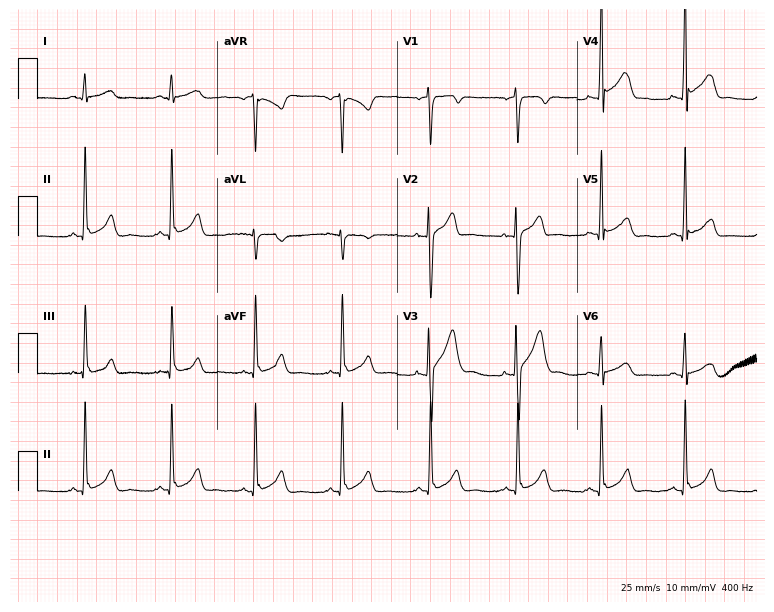
ECG (7.3-second recording at 400 Hz) — a 26-year-old man. Labelled as a normal ECG.